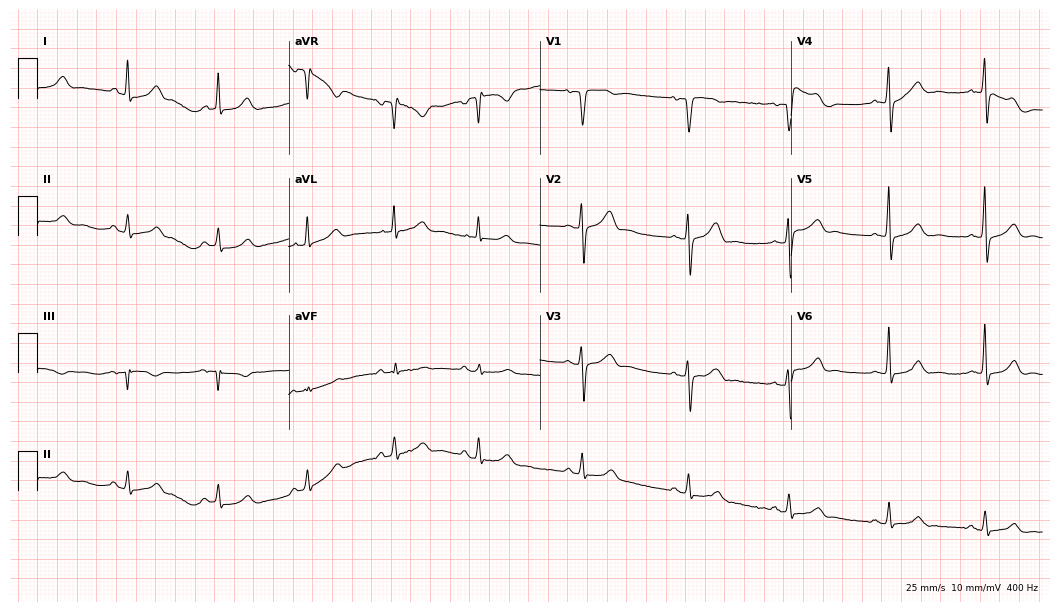
Standard 12-lead ECG recorded from a 58-year-old man. Read as a normal ECG.